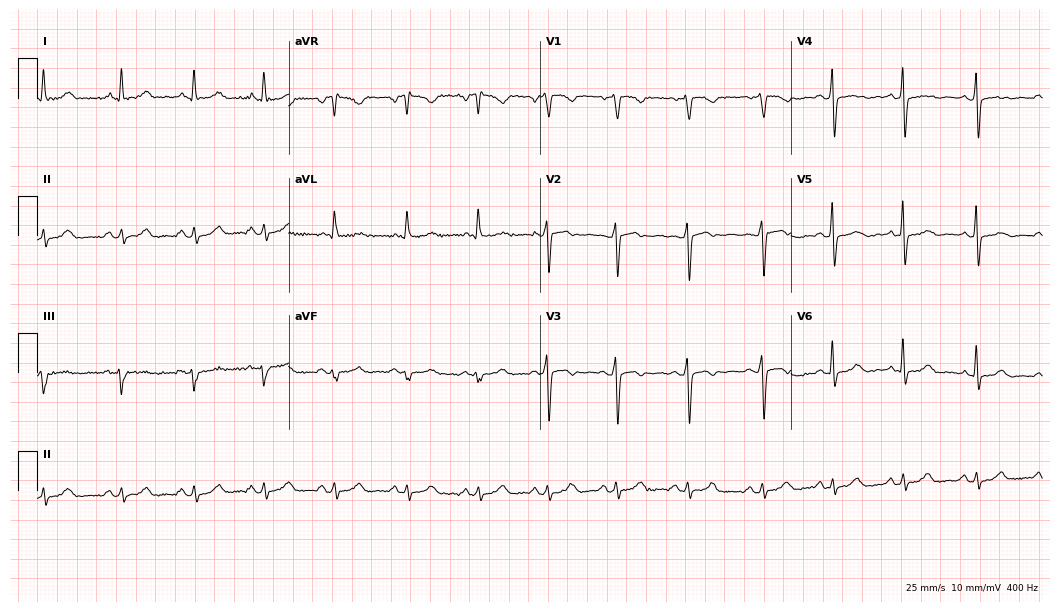
Resting 12-lead electrocardiogram (10.2-second recording at 400 Hz). Patient: a 51-year-old female. Read as a normal ECG.